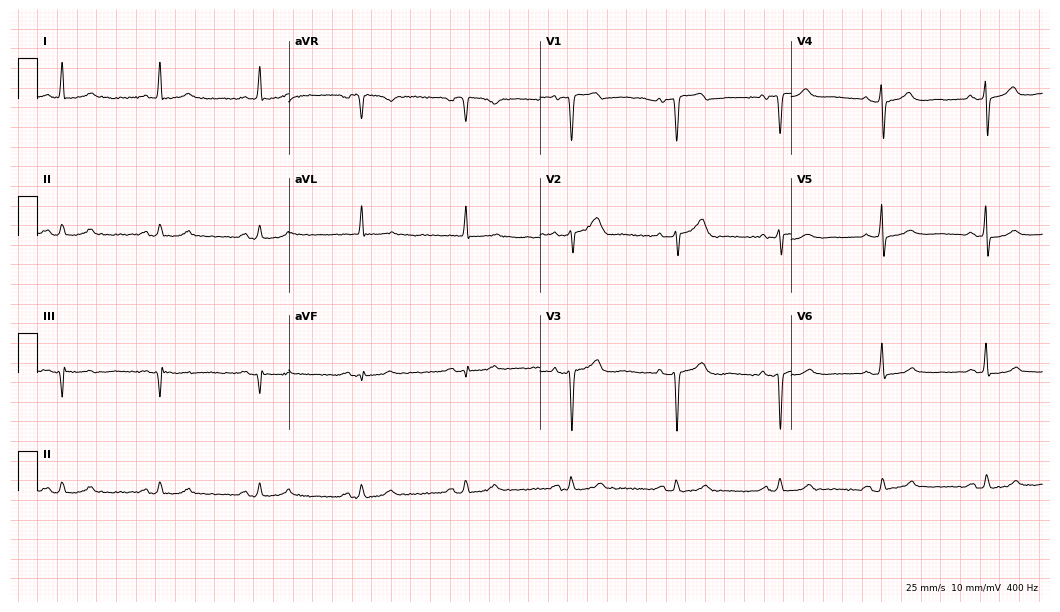
12-lead ECG from a male patient, 79 years old. Recorded interpretation: within normal limits.